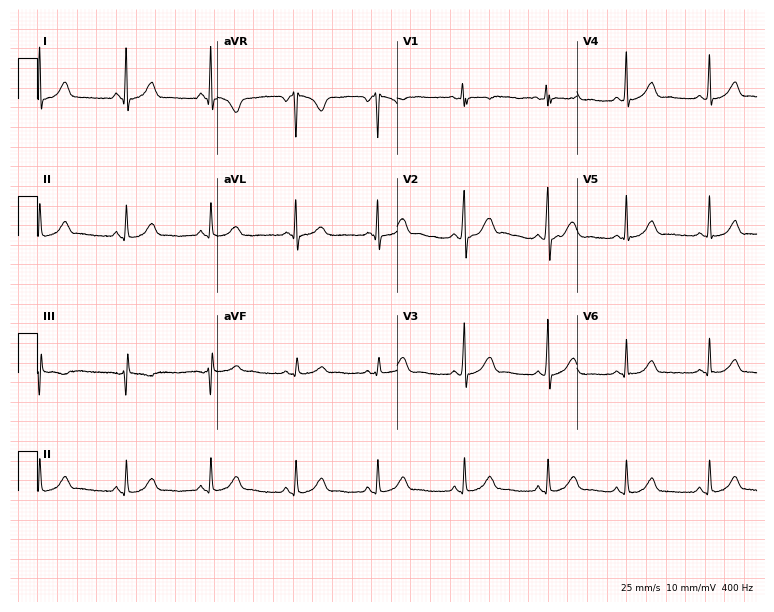
Standard 12-lead ECG recorded from a 22-year-old female patient. Read as a normal ECG.